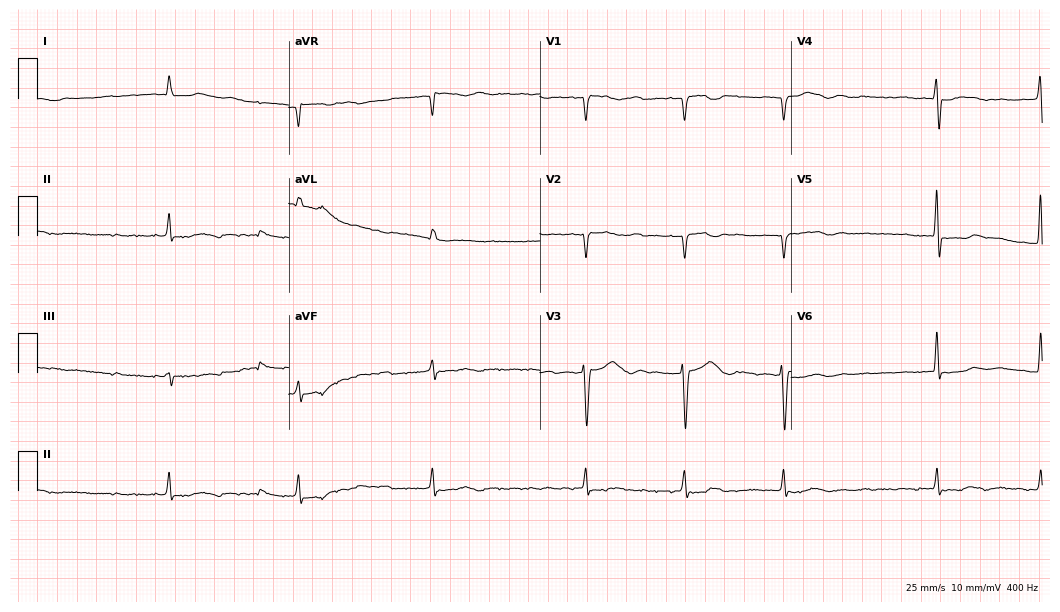
12-lead ECG from a female patient, 82 years old. Shows atrial fibrillation (AF).